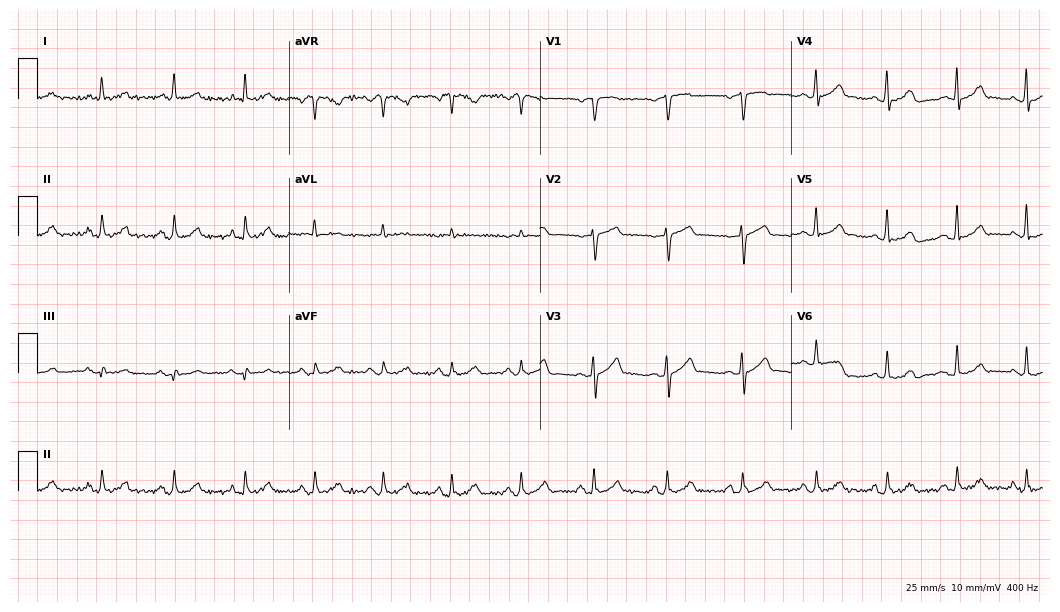
12-lead ECG from a 57-year-old male patient (10.2-second recording at 400 Hz). Recorded interpretation: within normal limits.